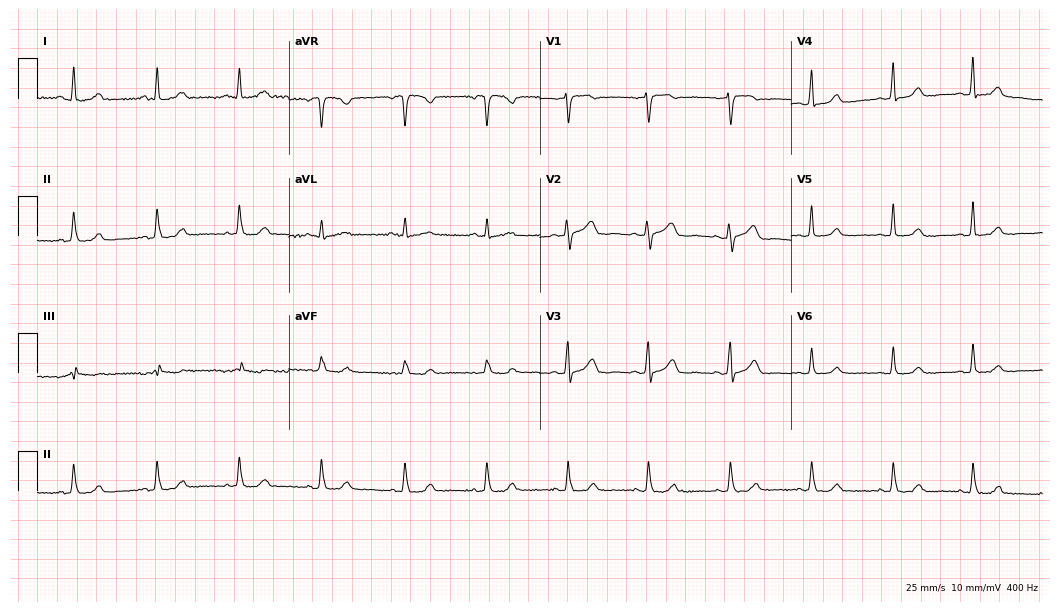
Resting 12-lead electrocardiogram. Patient: a 57-year-old female. None of these six findings is recorded: first-degree AV block, right bundle branch block, left bundle branch block, sinus bradycardia, atrial fibrillation, sinus tachycardia. Findings outside these six are not listed.